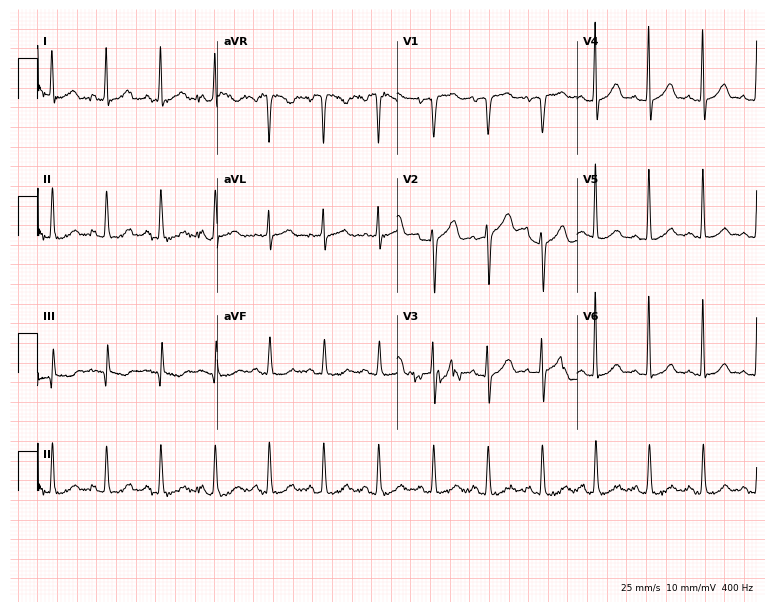
12-lead ECG from a 57-year-old female patient. Shows sinus tachycardia (a sinus rate of 100 beats per minute or more).